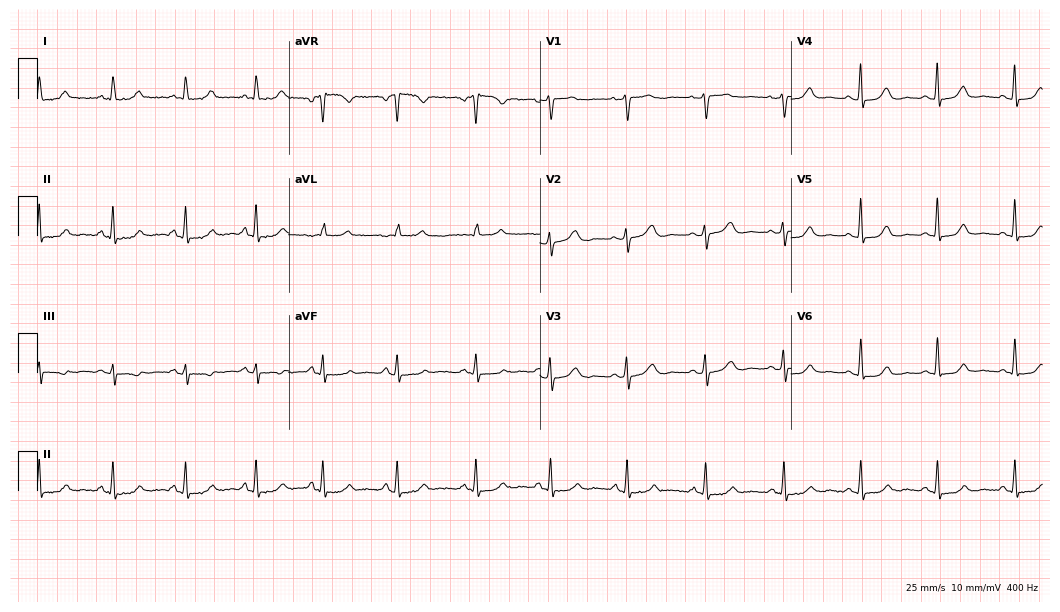
12-lead ECG from a 72-year-old woman (10.2-second recording at 400 Hz). No first-degree AV block, right bundle branch block, left bundle branch block, sinus bradycardia, atrial fibrillation or sinus tachycardia recorded for this tracing.